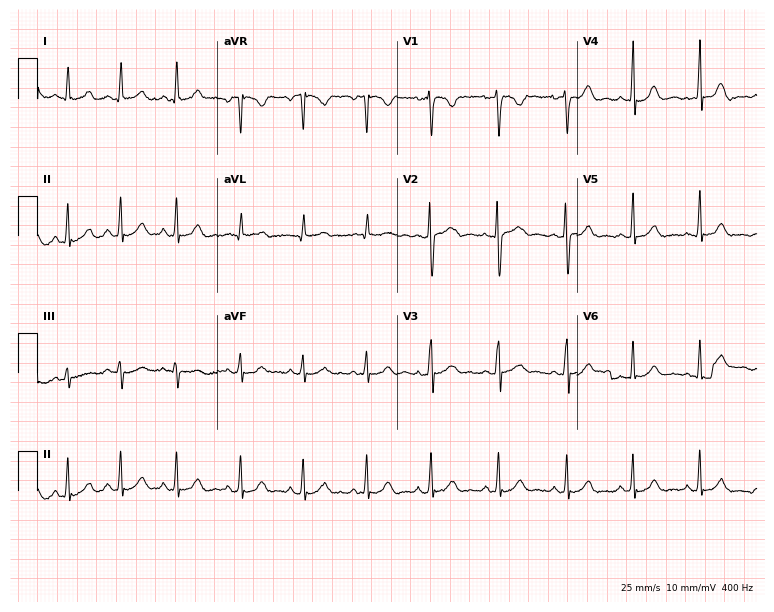
Standard 12-lead ECG recorded from a female patient, 20 years old. Read as a normal ECG.